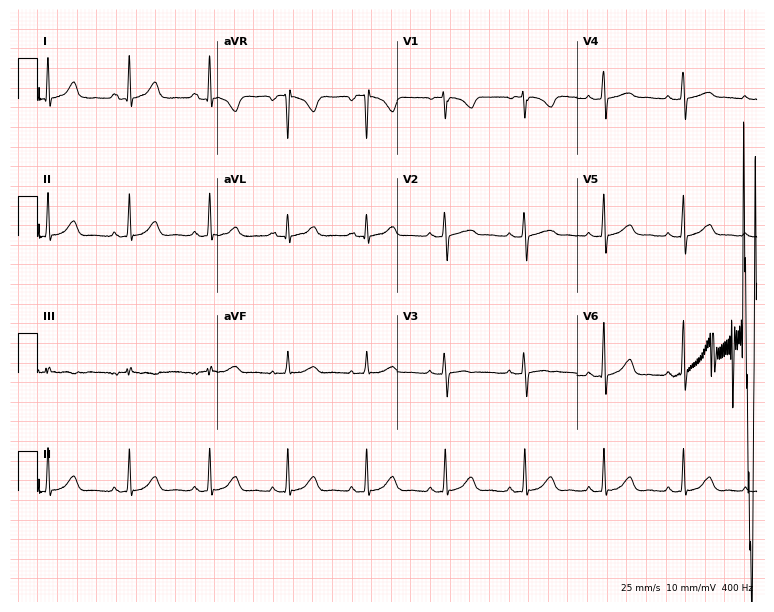
Resting 12-lead electrocardiogram. Patient: a 25-year-old woman. None of these six findings is recorded: first-degree AV block, right bundle branch block (RBBB), left bundle branch block (LBBB), sinus bradycardia, atrial fibrillation (AF), sinus tachycardia.